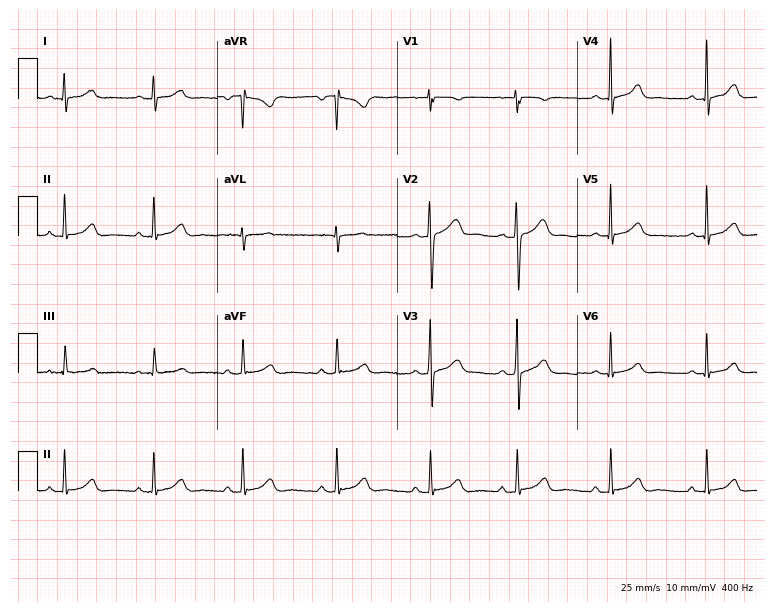
12-lead ECG (7.3-second recording at 400 Hz) from a female patient, 30 years old. Labelled as a normal ECG.